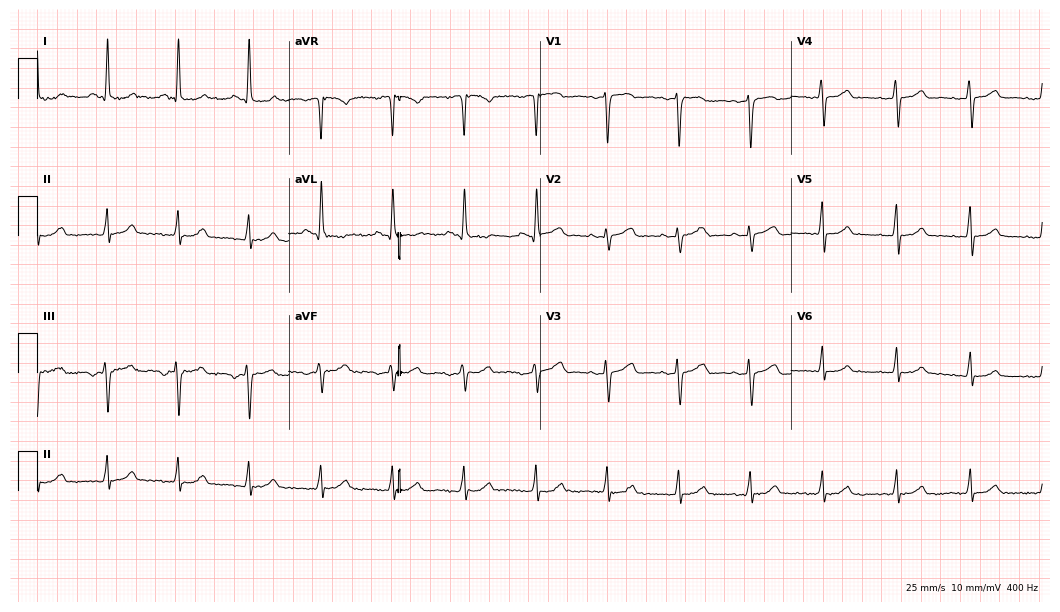
ECG — a female patient, 62 years old. Screened for six findings — first-degree AV block, right bundle branch block, left bundle branch block, sinus bradycardia, atrial fibrillation, sinus tachycardia — none is recorded.